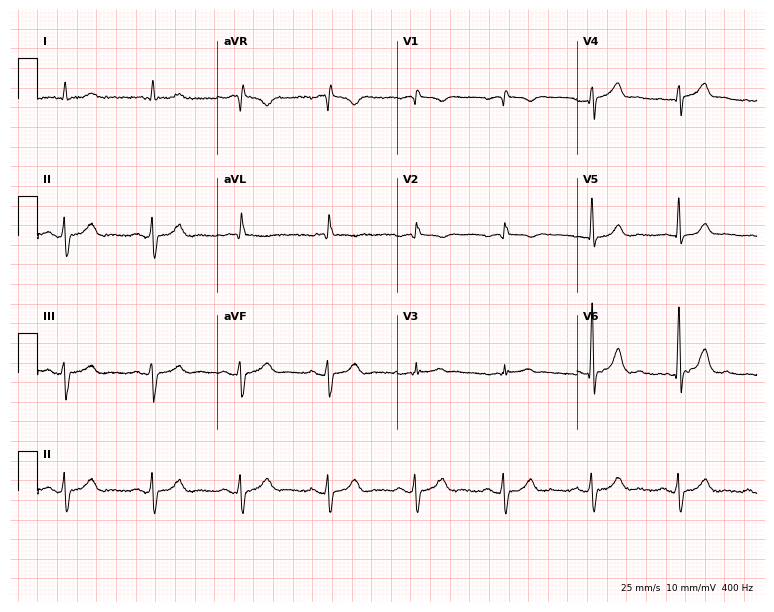
Resting 12-lead electrocardiogram. Patient: a male, 85 years old. None of these six findings is recorded: first-degree AV block, right bundle branch block, left bundle branch block, sinus bradycardia, atrial fibrillation, sinus tachycardia.